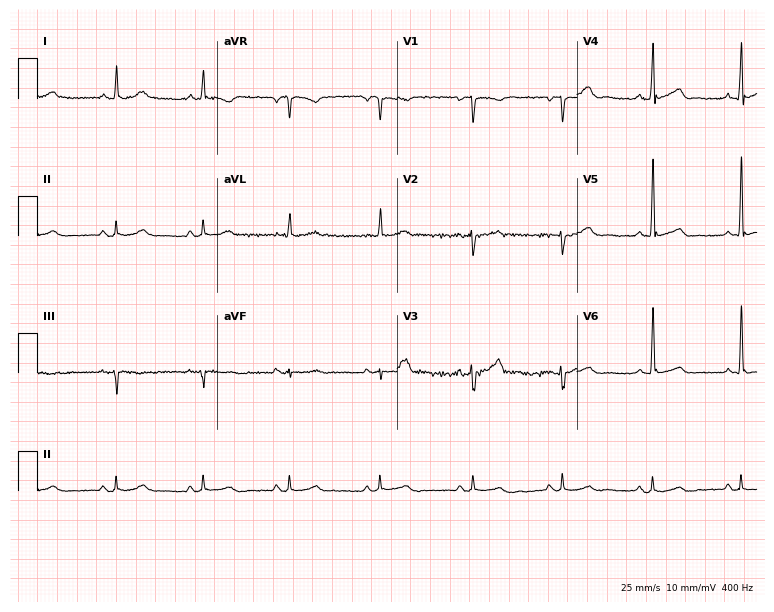
12-lead ECG (7.3-second recording at 400 Hz) from a 43-year-old male. Screened for six findings — first-degree AV block, right bundle branch block, left bundle branch block, sinus bradycardia, atrial fibrillation, sinus tachycardia — none is recorded. Findings outside these six are not listed.